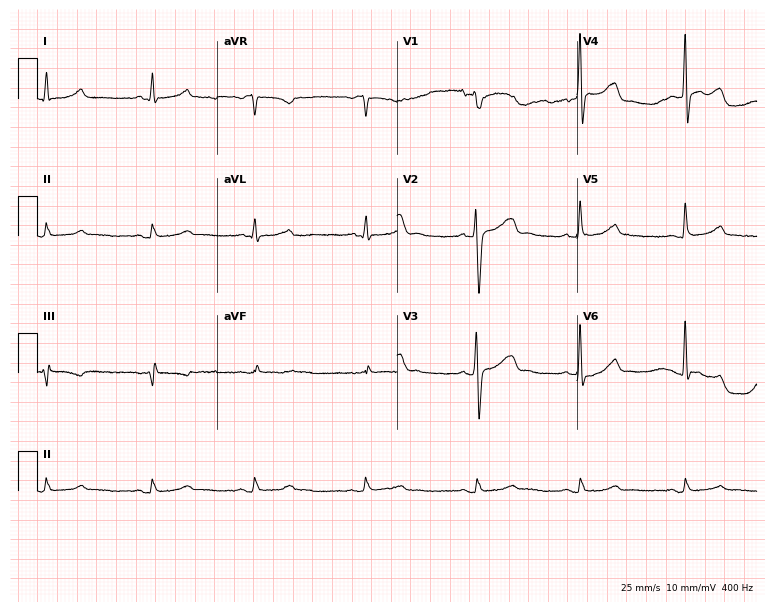
Resting 12-lead electrocardiogram (7.3-second recording at 400 Hz). Patient: a 52-year-old male. Read as a normal ECG.